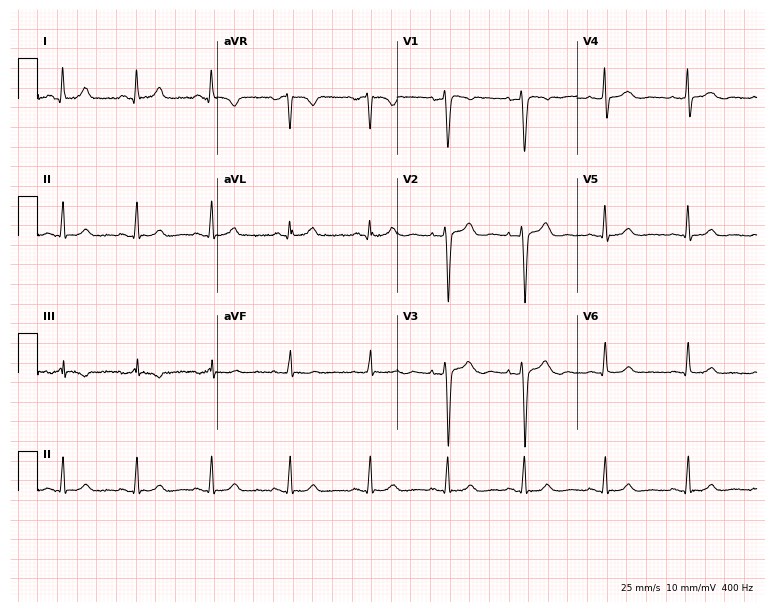
Resting 12-lead electrocardiogram (7.3-second recording at 400 Hz). Patient: a female, 43 years old. Read as a normal ECG.